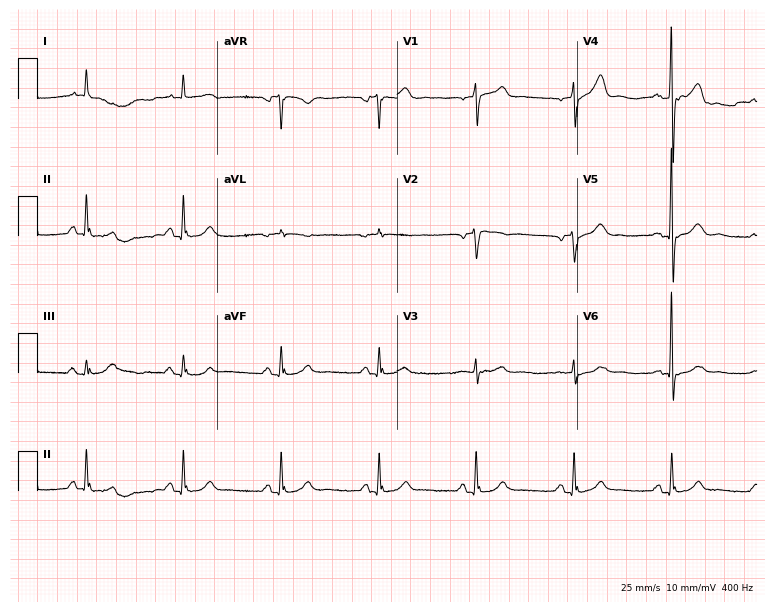
12-lead ECG from a 68-year-old male patient. No first-degree AV block, right bundle branch block, left bundle branch block, sinus bradycardia, atrial fibrillation or sinus tachycardia recorded for this tracing. Other findings, if any, are not listed.